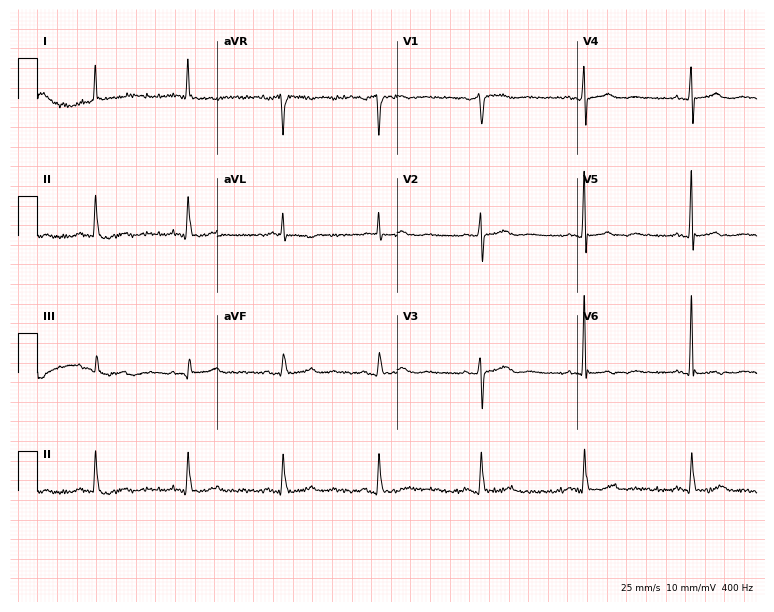
12-lead ECG from a 68-year-old female patient. Screened for six findings — first-degree AV block, right bundle branch block (RBBB), left bundle branch block (LBBB), sinus bradycardia, atrial fibrillation (AF), sinus tachycardia — none is recorded. Other findings, if any, are not listed.